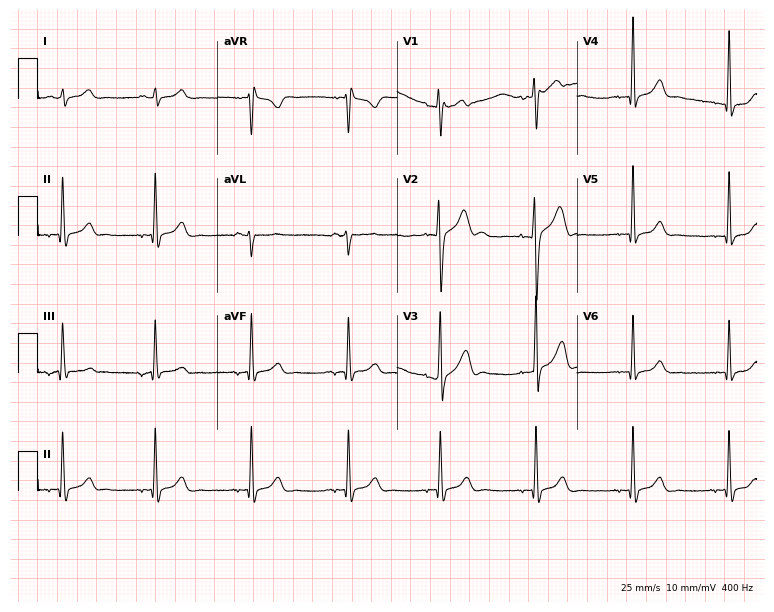
Electrocardiogram (7.3-second recording at 400 Hz), a male patient, 24 years old. Of the six screened findings (first-degree AV block, right bundle branch block (RBBB), left bundle branch block (LBBB), sinus bradycardia, atrial fibrillation (AF), sinus tachycardia), none is recorded.